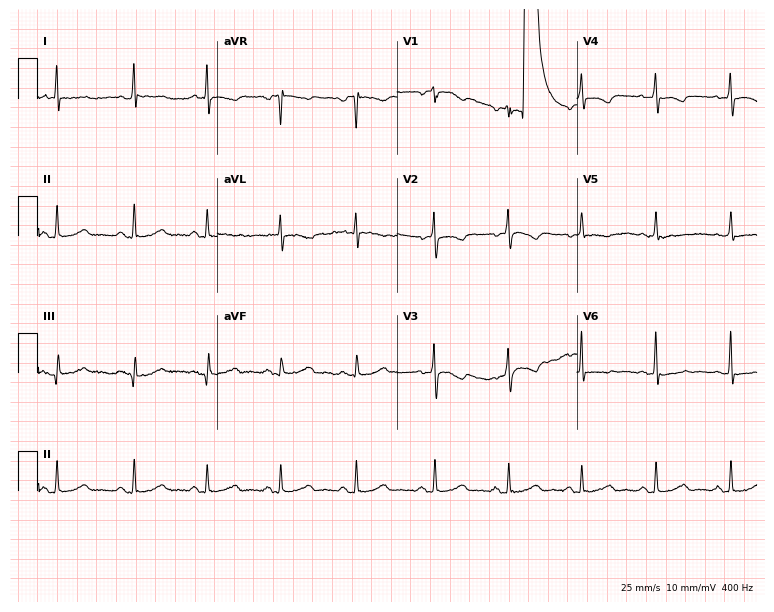
Resting 12-lead electrocardiogram. Patient: a 65-year-old female. None of these six findings is recorded: first-degree AV block, right bundle branch block, left bundle branch block, sinus bradycardia, atrial fibrillation, sinus tachycardia.